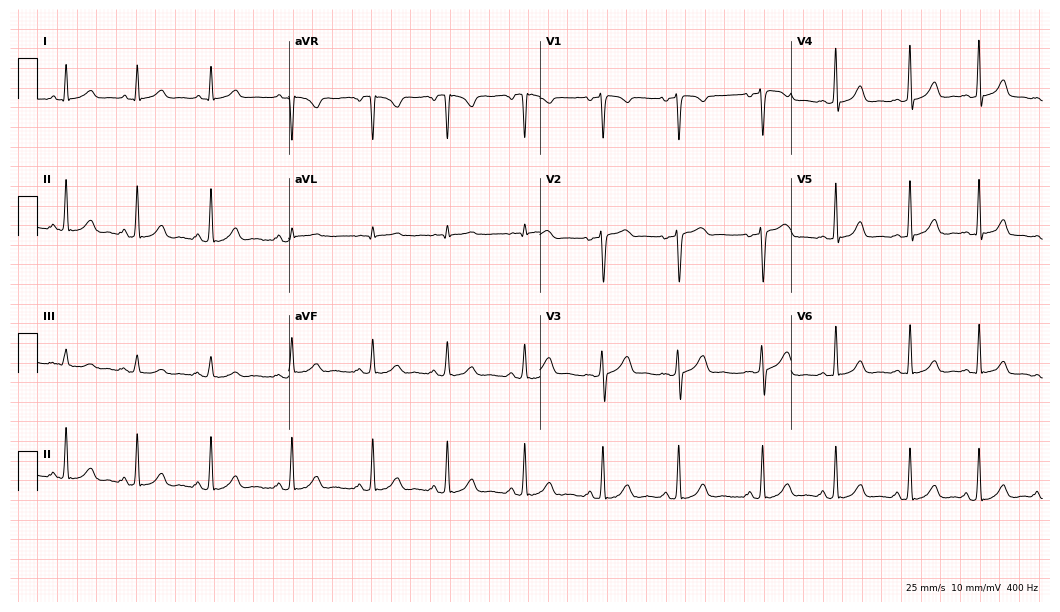
12-lead ECG from a female, 38 years old. Labelled as a normal ECG.